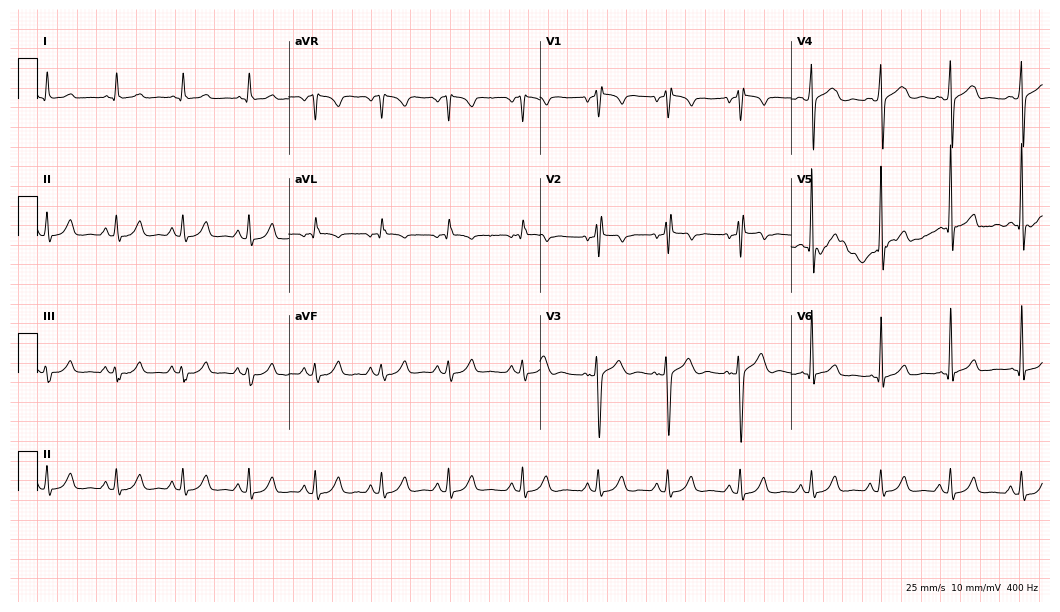
Standard 12-lead ECG recorded from a 52-year-old man (10.2-second recording at 400 Hz). None of these six findings is recorded: first-degree AV block, right bundle branch block, left bundle branch block, sinus bradycardia, atrial fibrillation, sinus tachycardia. Other findings, if any, are not listed.